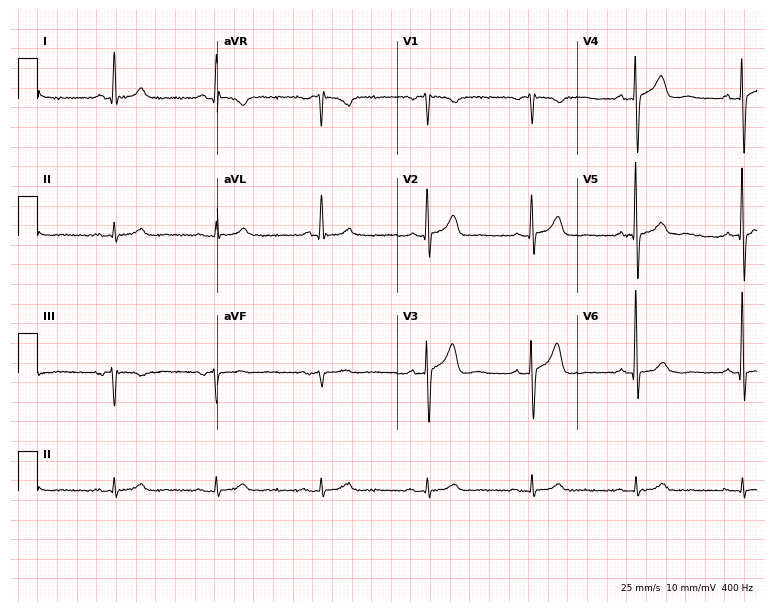
Resting 12-lead electrocardiogram. Patient: a 75-year-old male. Read as a normal ECG.